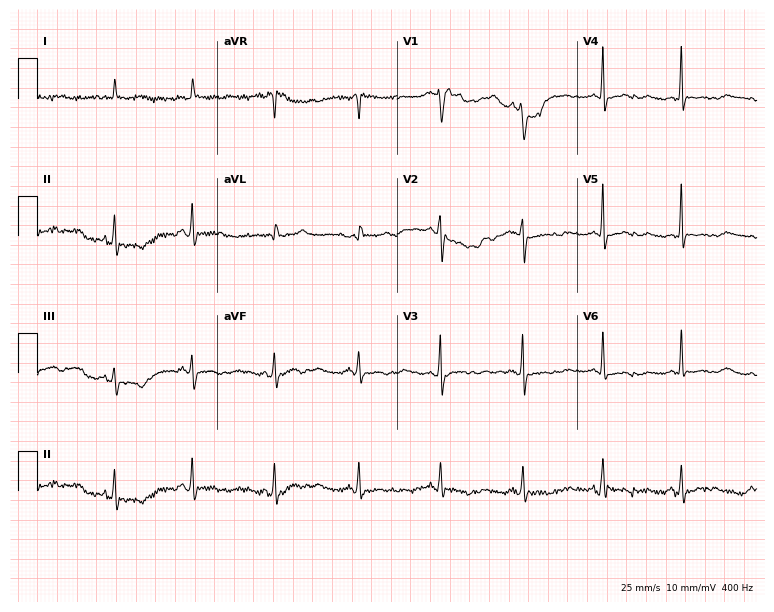
Electrocardiogram (7.3-second recording at 400 Hz), a female patient, 54 years old. Of the six screened findings (first-degree AV block, right bundle branch block, left bundle branch block, sinus bradycardia, atrial fibrillation, sinus tachycardia), none is recorded.